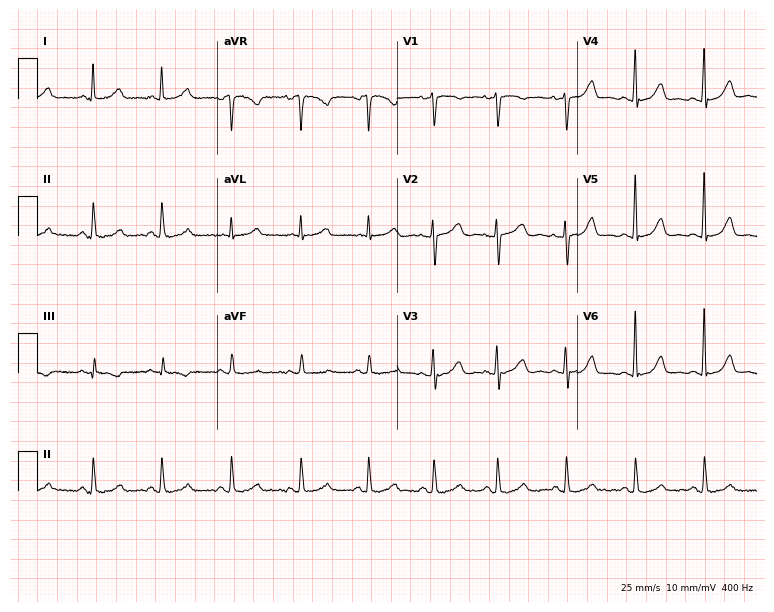
ECG — a 47-year-old female patient. Labelled as a normal ECG.